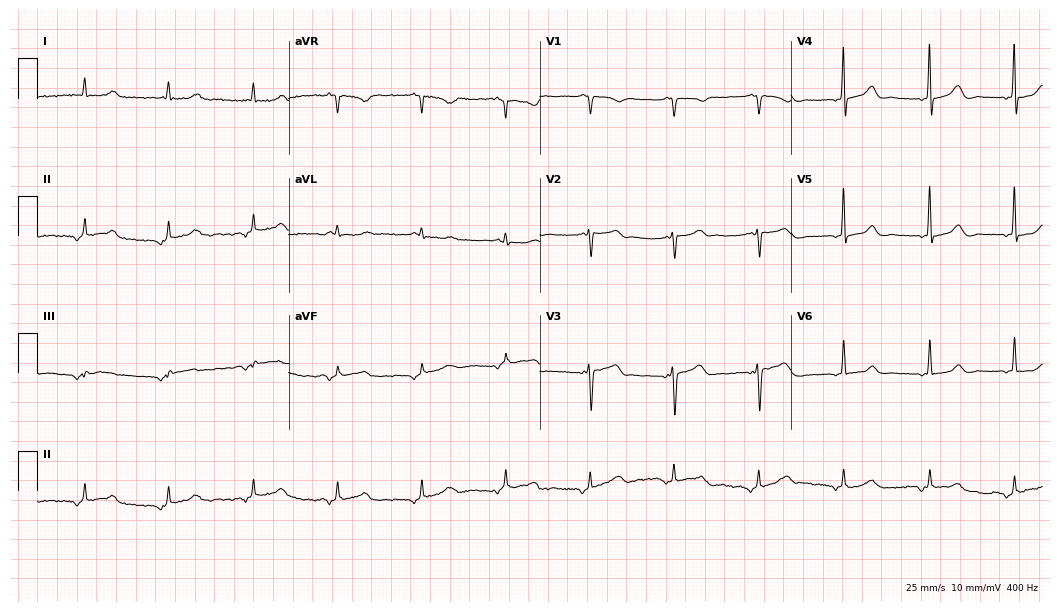
Standard 12-lead ECG recorded from a 78-year-old female patient. None of these six findings is recorded: first-degree AV block, right bundle branch block (RBBB), left bundle branch block (LBBB), sinus bradycardia, atrial fibrillation (AF), sinus tachycardia.